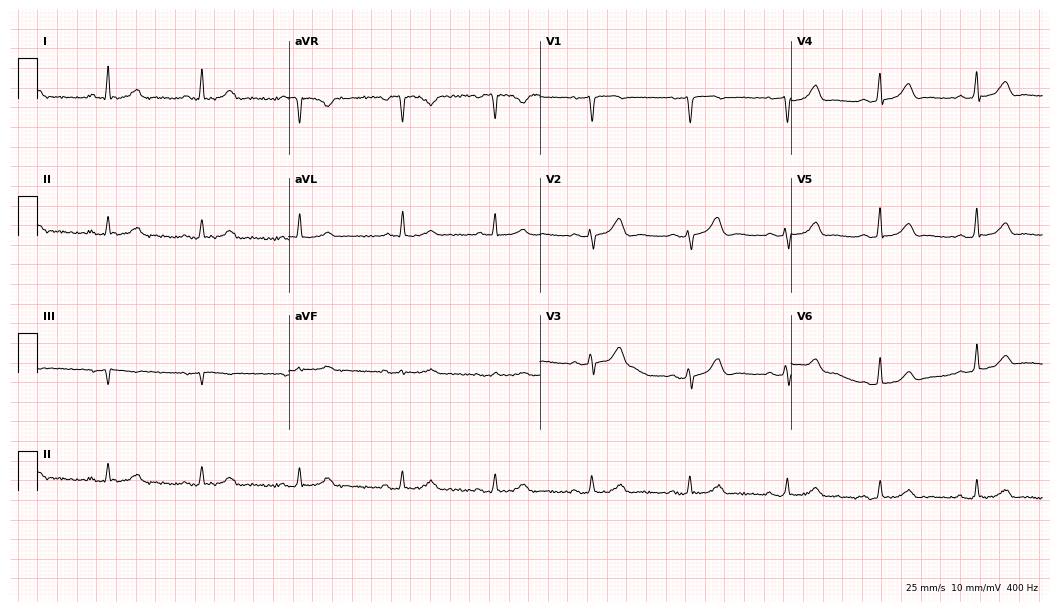
Standard 12-lead ECG recorded from a woman, 36 years old (10.2-second recording at 400 Hz). Read as a normal ECG.